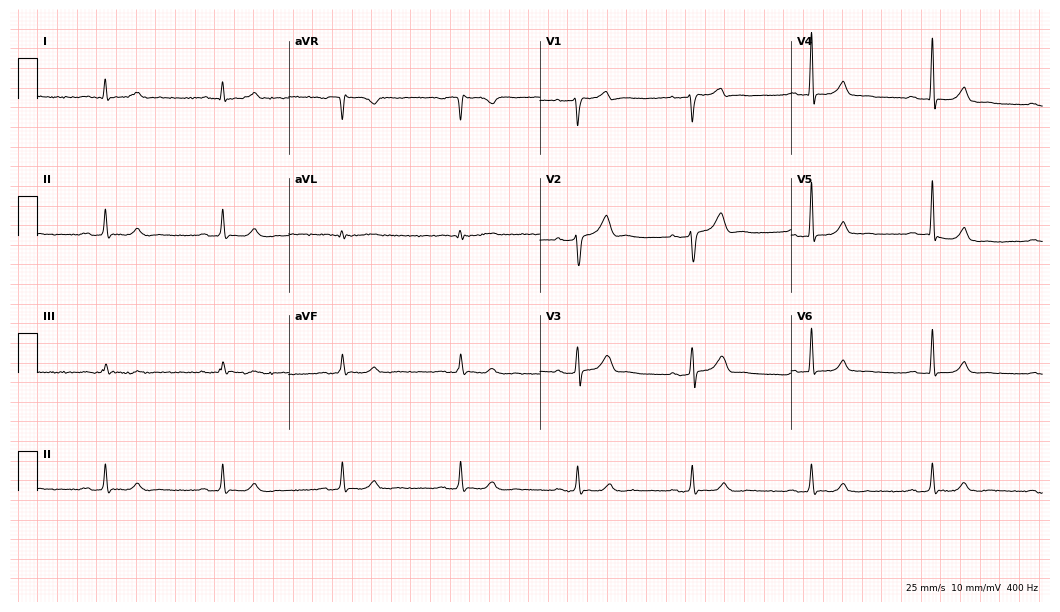
Electrocardiogram (10.2-second recording at 400 Hz), a man, 52 years old. Of the six screened findings (first-degree AV block, right bundle branch block (RBBB), left bundle branch block (LBBB), sinus bradycardia, atrial fibrillation (AF), sinus tachycardia), none is recorded. Findings outside these six are not listed.